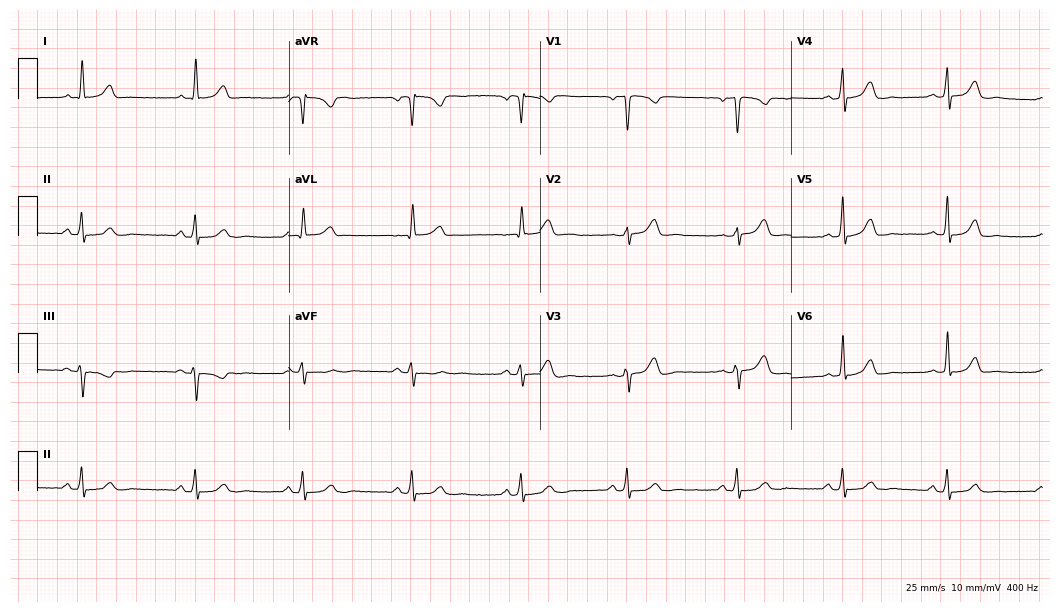
Standard 12-lead ECG recorded from a female, 56 years old. Read as a normal ECG.